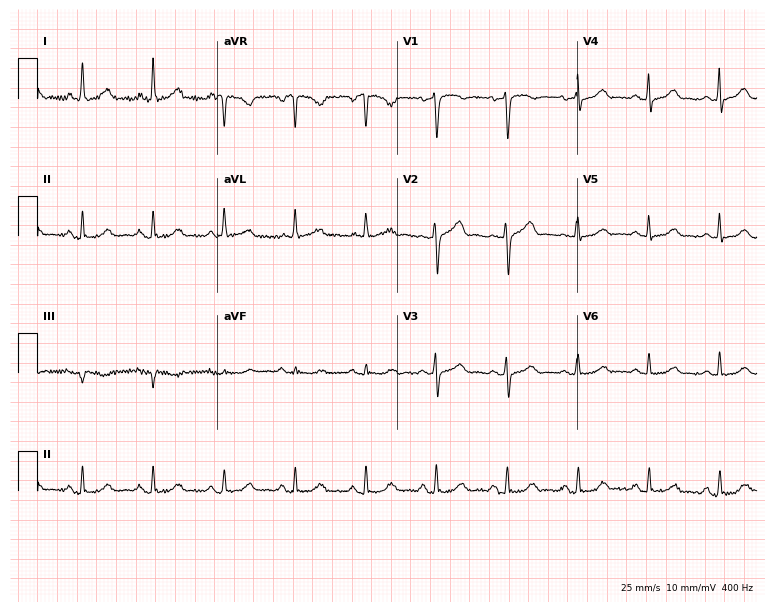
12-lead ECG (7.3-second recording at 400 Hz) from a woman, 69 years old. Labelled as a normal ECG.